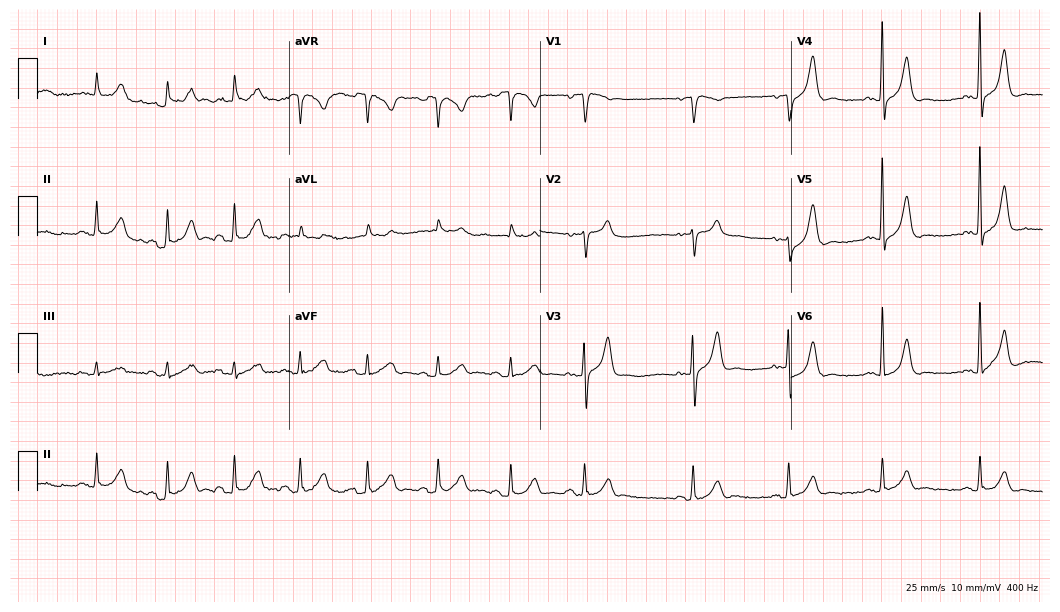
Electrocardiogram, a man, 69 years old. Overall reading on record: normal ECG.